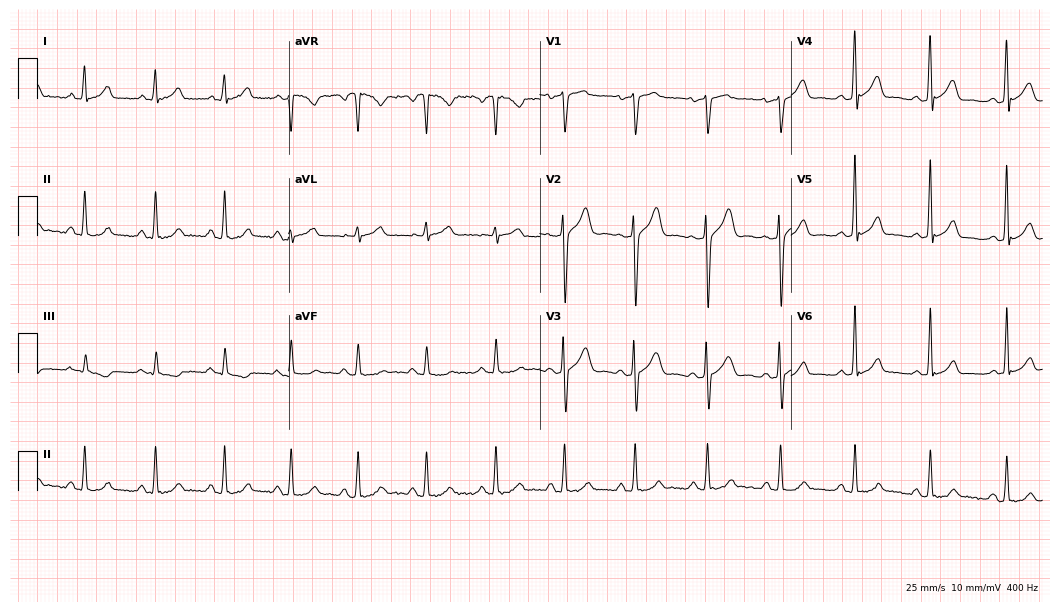
12-lead ECG from a 42-year-old male. Labelled as a normal ECG.